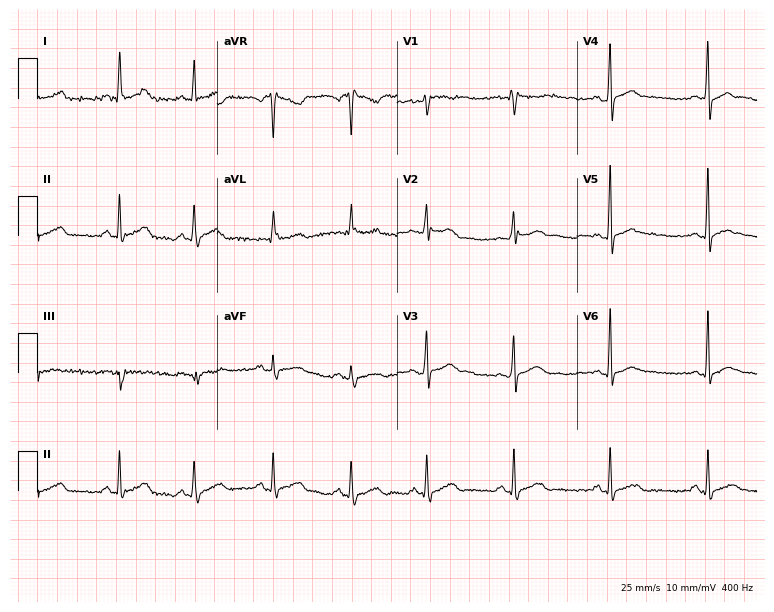
Resting 12-lead electrocardiogram (7.3-second recording at 400 Hz). Patient: a man, 25 years old. Read as a normal ECG.